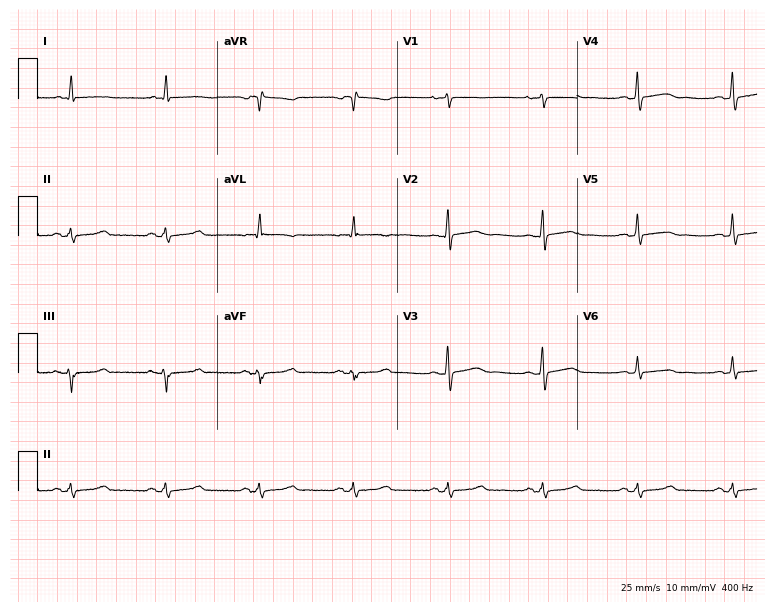
Electrocardiogram, a 63-year-old female. Of the six screened findings (first-degree AV block, right bundle branch block, left bundle branch block, sinus bradycardia, atrial fibrillation, sinus tachycardia), none is recorded. Other findings, if any, are not listed.